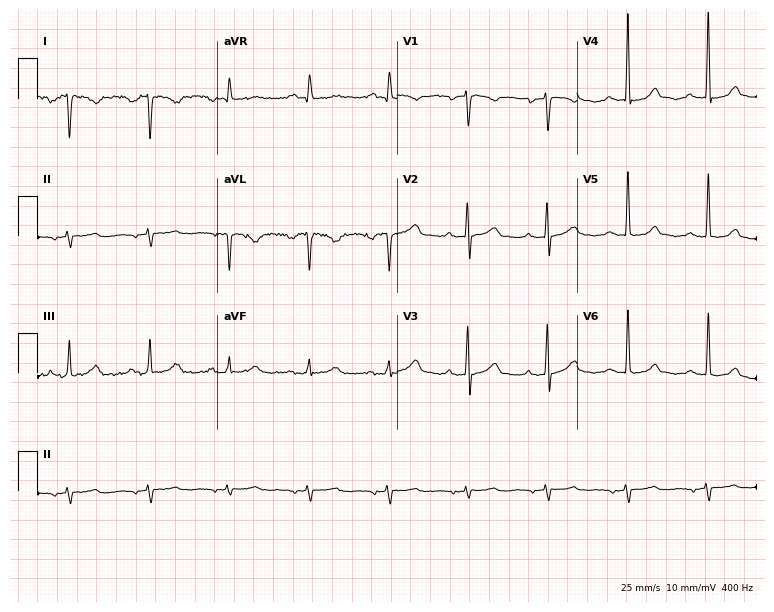
Resting 12-lead electrocardiogram (7.3-second recording at 400 Hz). Patient: a 76-year-old woman. None of these six findings is recorded: first-degree AV block, right bundle branch block, left bundle branch block, sinus bradycardia, atrial fibrillation, sinus tachycardia.